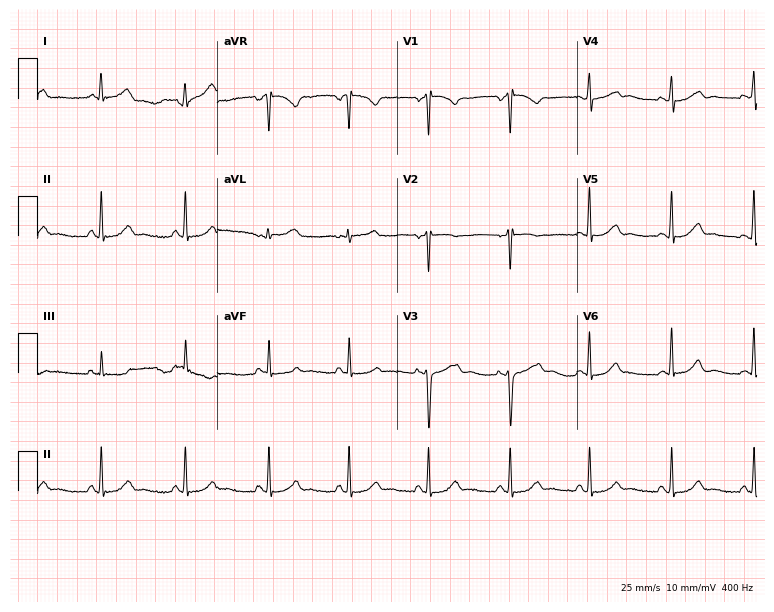
12-lead ECG (7.3-second recording at 400 Hz) from a woman, 23 years old. Screened for six findings — first-degree AV block, right bundle branch block, left bundle branch block, sinus bradycardia, atrial fibrillation, sinus tachycardia — none is recorded. Other findings, if any, are not listed.